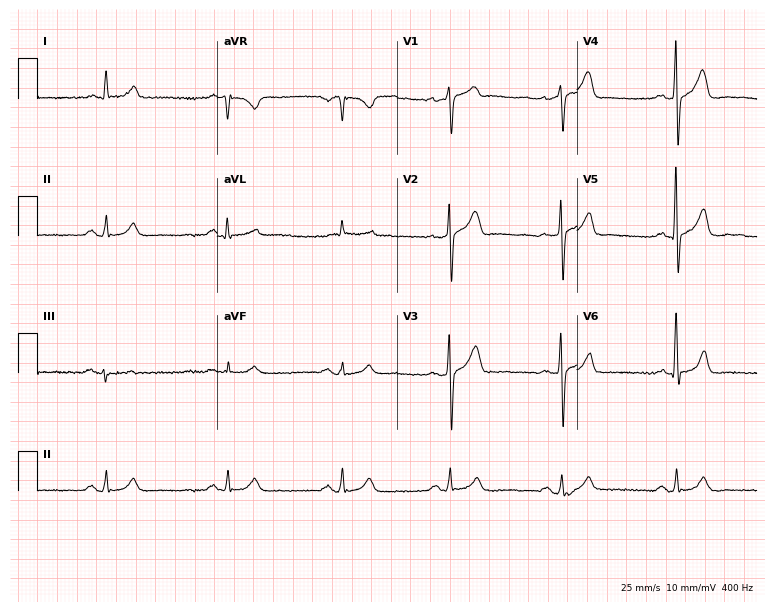
12-lead ECG (7.3-second recording at 400 Hz) from a 73-year-old man. Screened for six findings — first-degree AV block, right bundle branch block, left bundle branch block, sinus bradycardia, atrial fibrillation, sinus tachycardia — none is recorded. Findings outside these six are not listed.